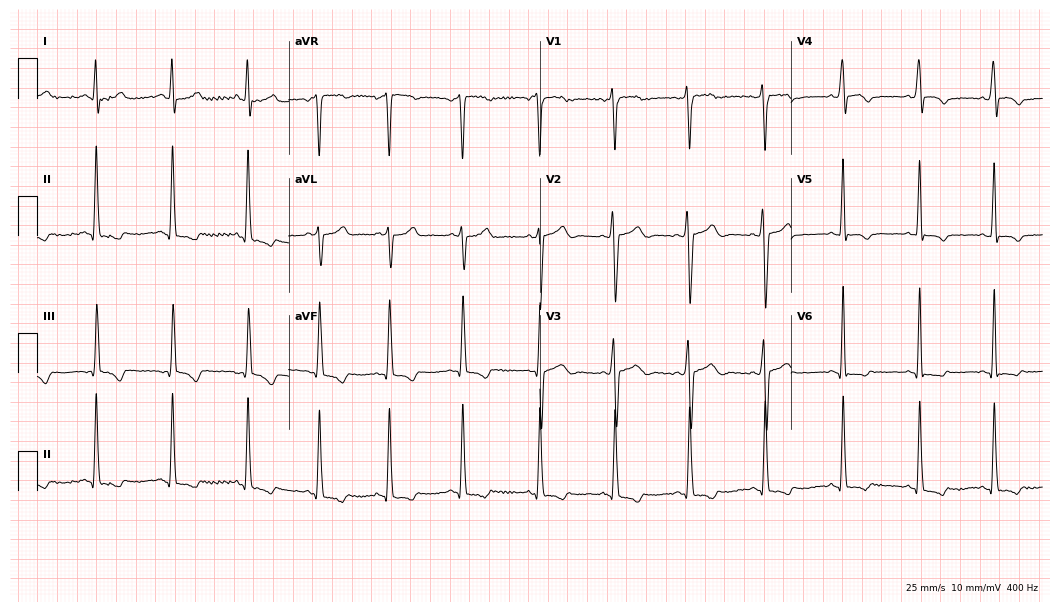
12-lead ECG (10.2-second recording at 400 Hz) from a male, 38 years old. Screened for six findings — first-degree AV block, right bundle branch block, left bundle branch block, sinus bradycardia, atrial fibrillation, sinus tachycardia — none is recorded. Findings outside these six are not listed.